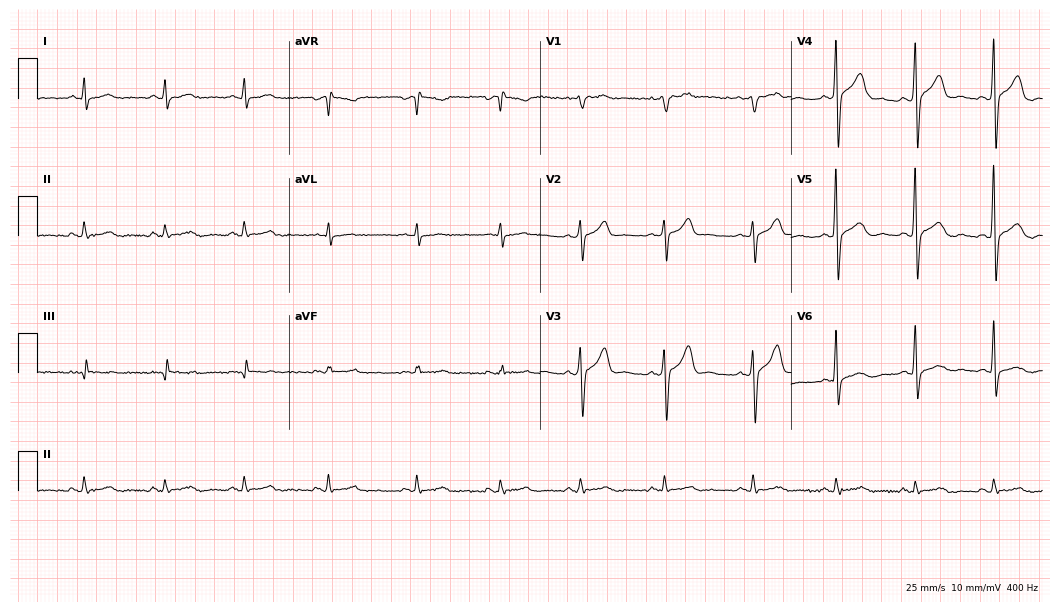
Resting 12-lead electrocardiogram. Patient: a male, 48 years old. None of these six findings is recorded: first-degree AV block, right bundle branch block, left bundle branch block, sinus bradycardia, atrial fibrillation, sinus tachycardia. Findings outside these six are not listed.